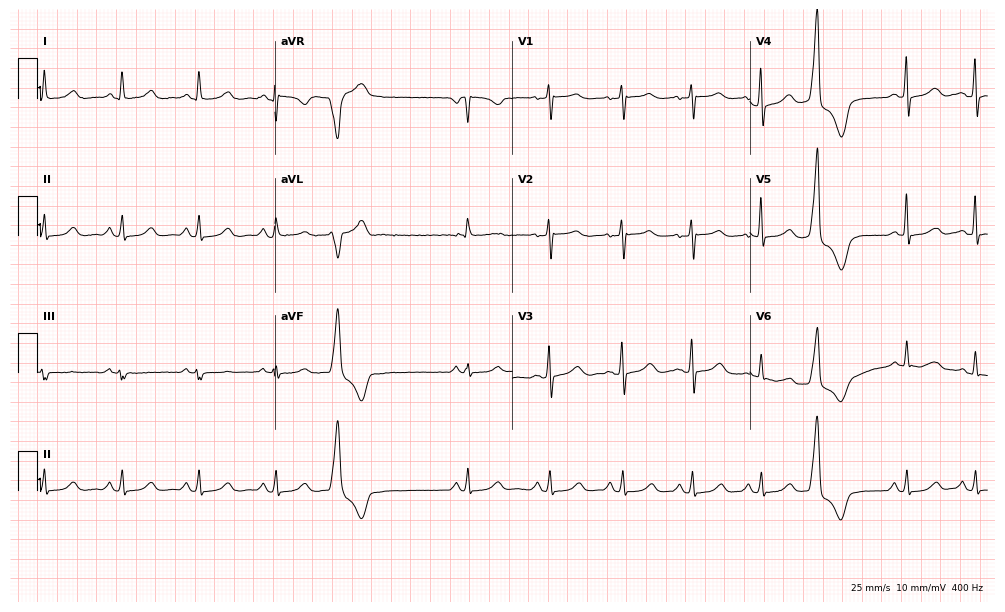
Standard 12-lead ECG recorded from a male patient, 33 years old. None of these six findings is recorded: first-degree AV block, right bundle branch block (RBBB), left bundle branch block (LBBB), sinus bradycardia, atrial fibrillation (AF), sinus tachycardia. Findings outside these six are not listed.